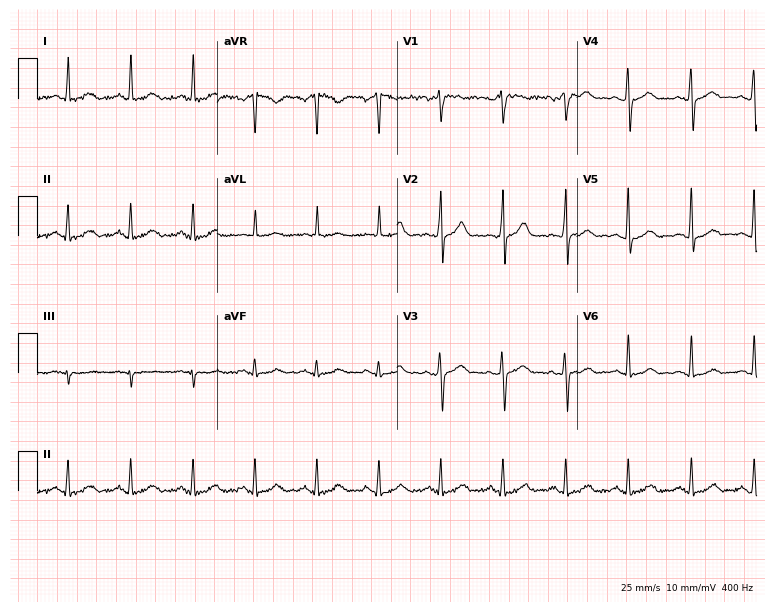
12-lead ECG from a 46-year-old man. Labelled as a normal ECG.